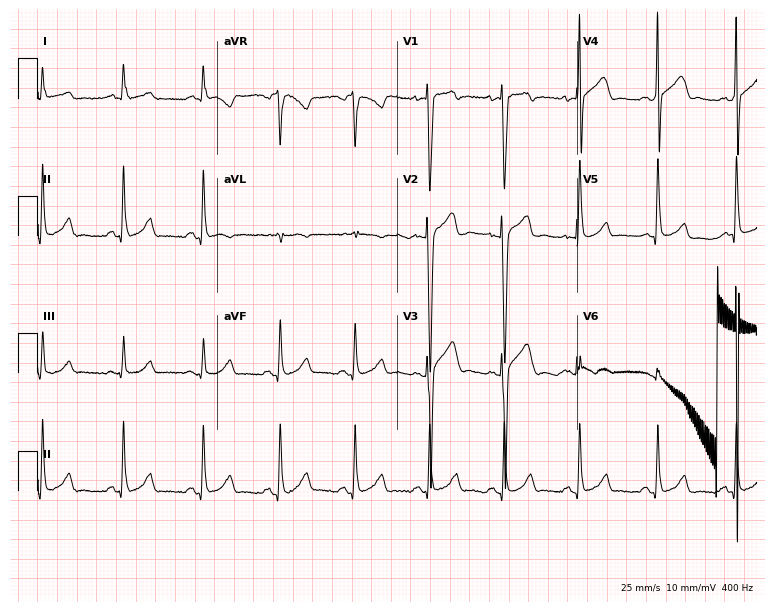
Standard 12-lead ECG recorded from a 28-year-old male (7.3-second recording at 400 Hz). None of these six findings is recorded: first-degree AV block, right bundle branch block, left bundle branch block, sinus bradycardia, atrial fibrillation, sinus tachycardia.